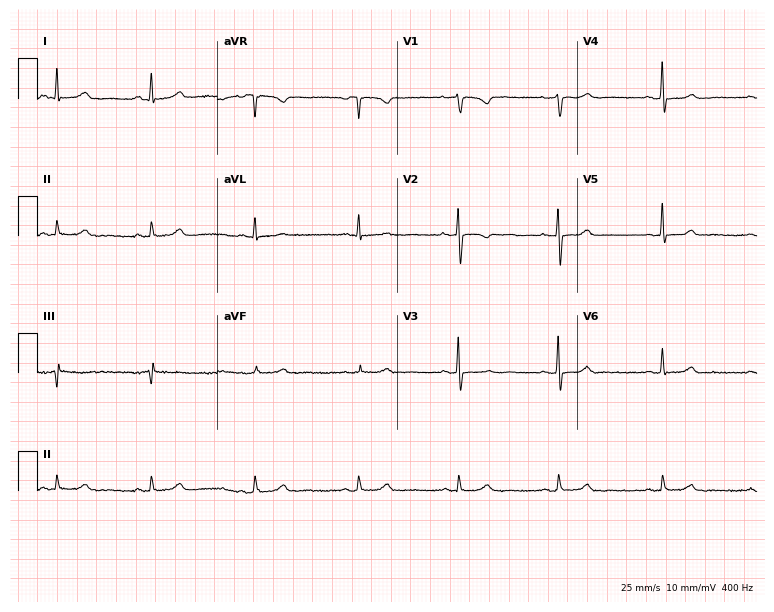
Resting 12-lead electrocardiogram. Patient: a woman, 55 years old. None of these six findings is recorded: first-degree AV block, right bundle branch block (RBBB), left bundle branch block (LBBB), sinus bradycardia, atrial fibrillation (AF), sinus tachycardia. Findings outside these six are not listed.